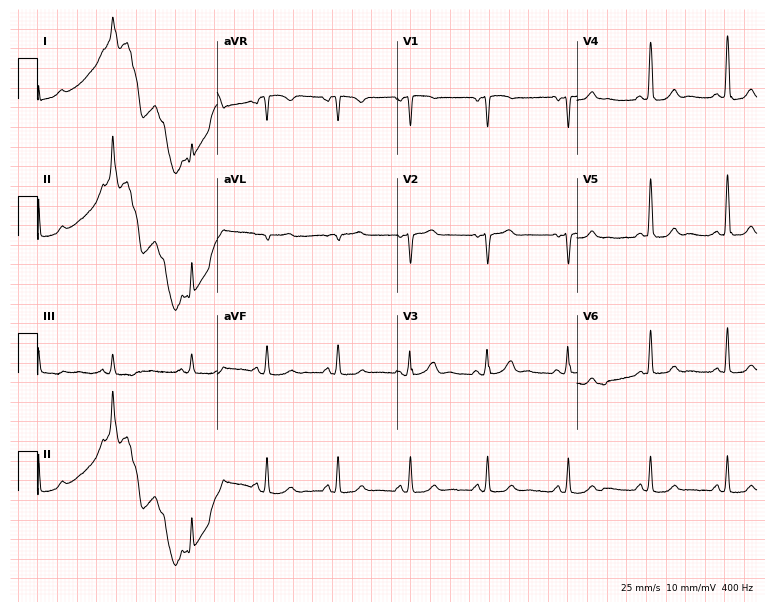
12-lead ECG from a 38-year-old woman. No first-degree AV block, right bundle branch block (RBBB), left bundle branch block (LBBB), sinus bradycardia, atrial fibrillation (AF) or sinus tachycardia recorded for this tracing.